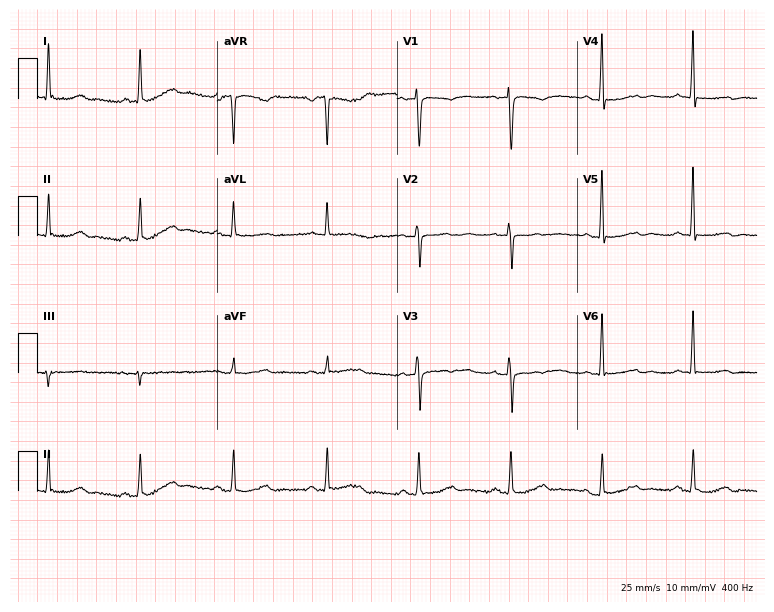
12-lead ECG from a 72-year-old female patient. No first-degree AV block, right bundle branch block, left bundle branch block, sinus bradycardia, atrial fibrillation or sinus tachycardia recorded for this tracing.